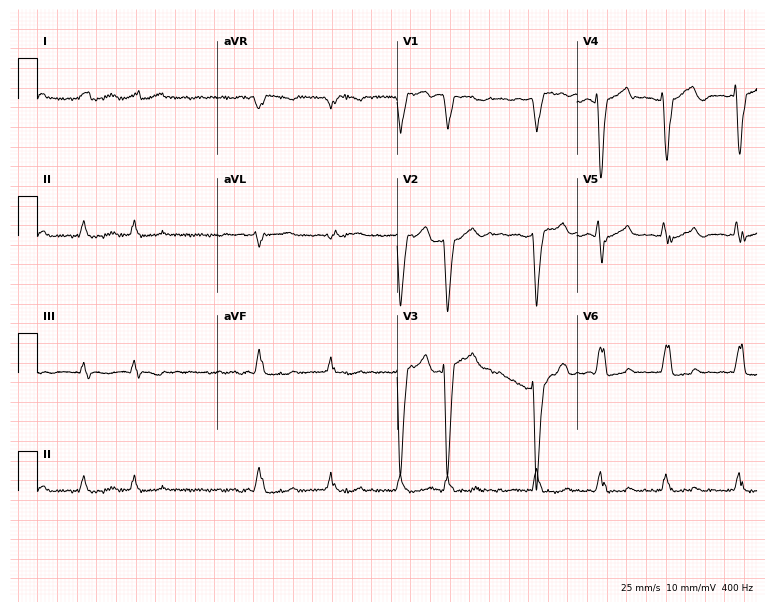
ECG — a 64-year-old woman. Findings include left bundle branch block (LBBB), atrial fibrillation (AF).